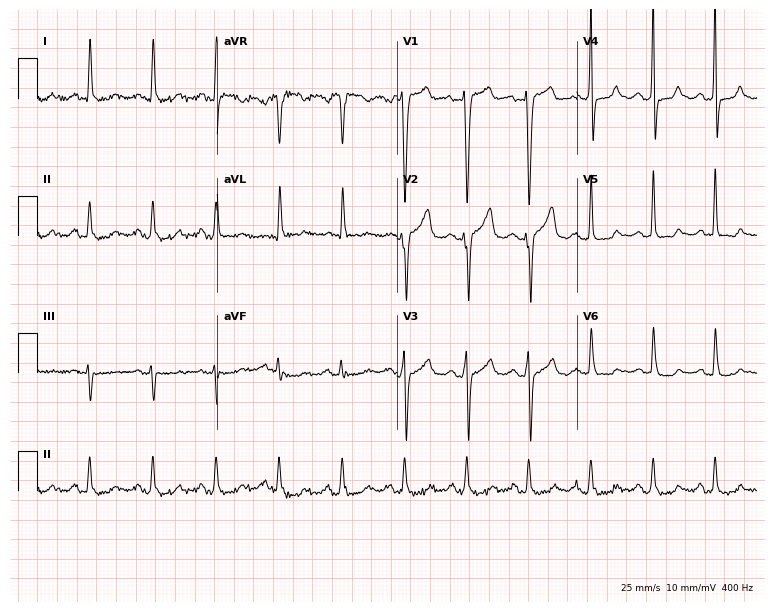
Standard 12-lead ECG recorded from a man, 53 years old. Read as a normal ECG.